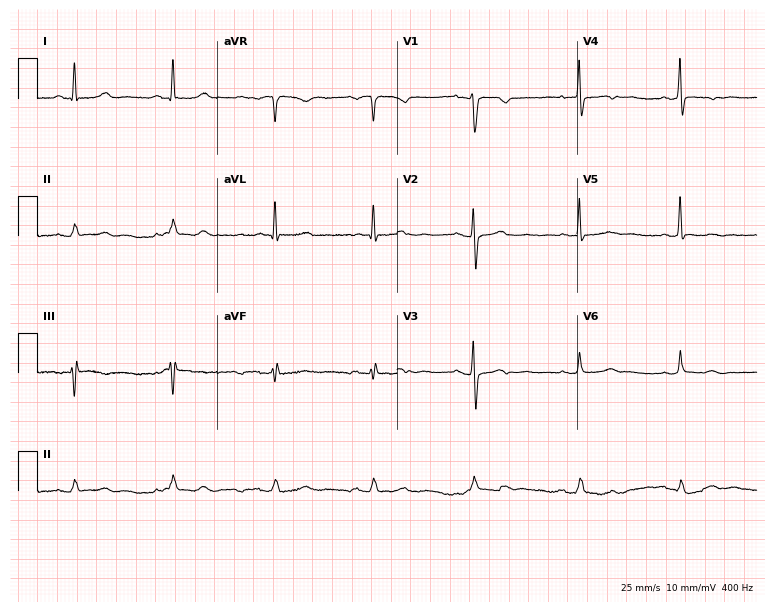
Resting 12-lead electrocardiogram (7.3-second recording at 400 Hz). Patient: a female, 51 years old. None of these six findings is recorded: first-degree AV block, right bundle branch block, left bundle branch block, sinus bradycardia, atrial fibrillation, sinus tachycardia.